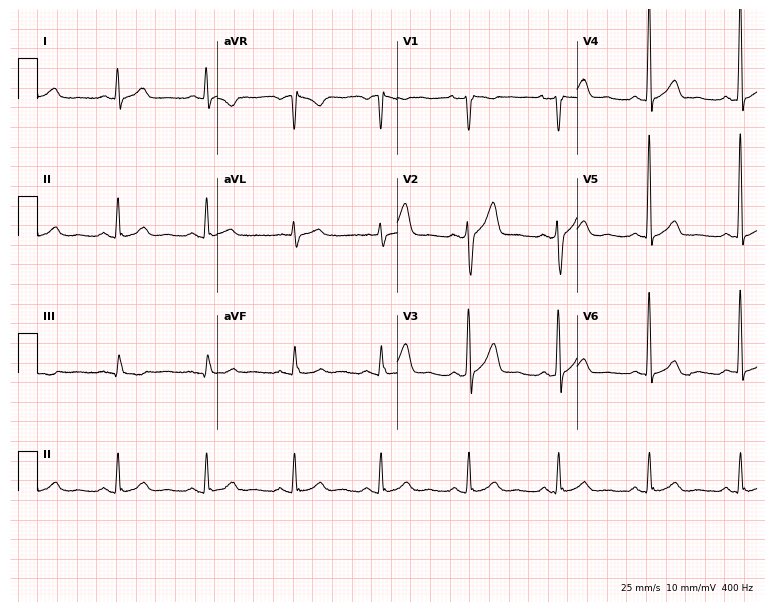
Resting 12-lead electrocardiogram (7.3-second recording at 400 Hz). Patient: a 45-year-old male. Read as a normal ECG.